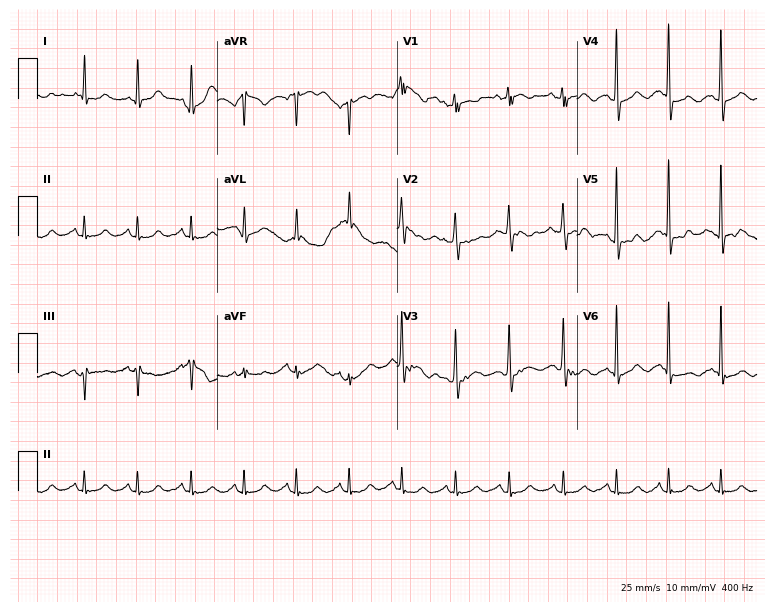
12-lead ECG from a female patient, 68 years old. Shows sinus tachycardia (a sinus rate of 100 beats per minute or more).